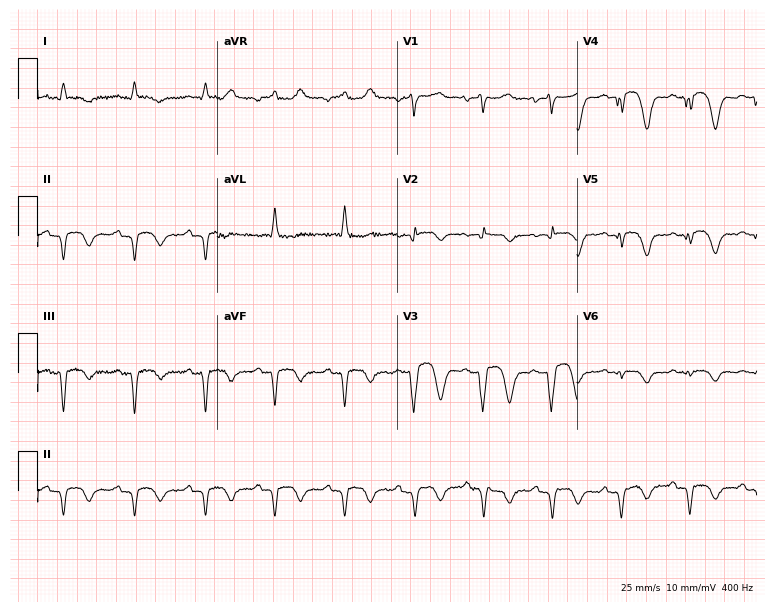
Standard 12-lead ECG recorded from a male, 78 years old (7.3-second recording at 400 Hz). None of these six findings is recorded: first-degree AV block, right bundle branch block, left bundle branch block, sinus bradycardia, atrial fibrillation, sinus tachycardia.